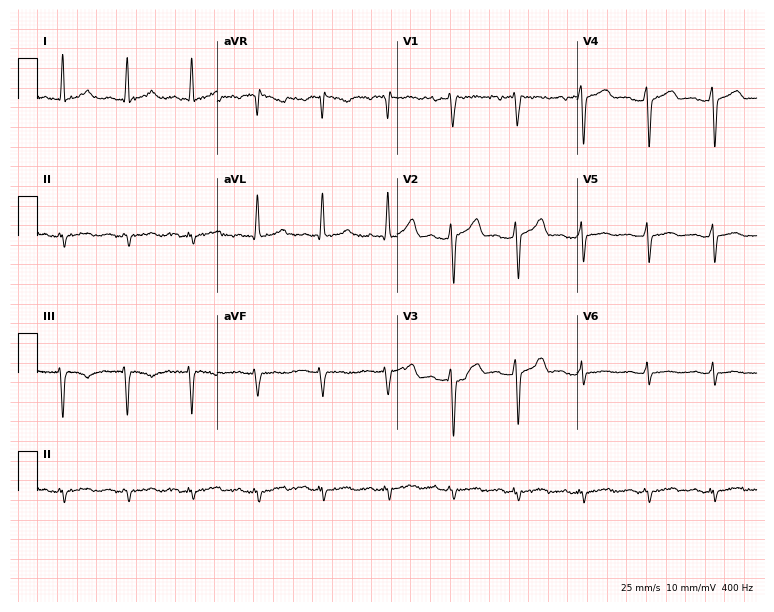
Standard 12-lead ECG recorded from a man, 54 years old. None of these six findings is recorded: first-degree AV block, right bundle branch block (RBBB), left bundle branch block (LBBB), sinus bradycardia, atrial fibrillation (AF), sinus tachycardia.